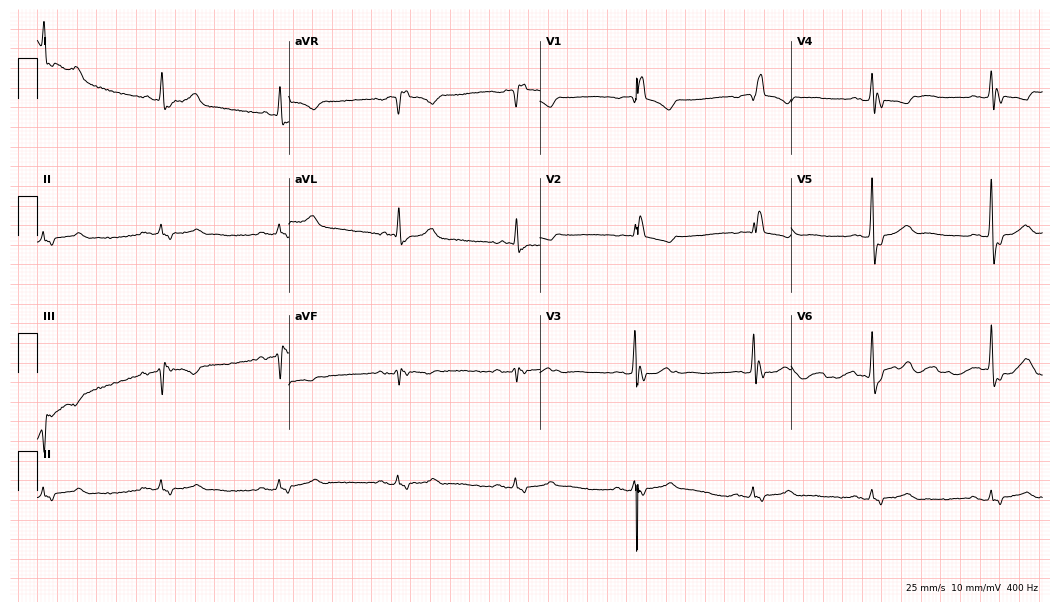
12-lead ECG (10.2-second recording at 400 Hz) from a male, 33 years old. Findings include right bundle branch block, sinus bradycardia (a sinus rate of 50 beats per minute or less).